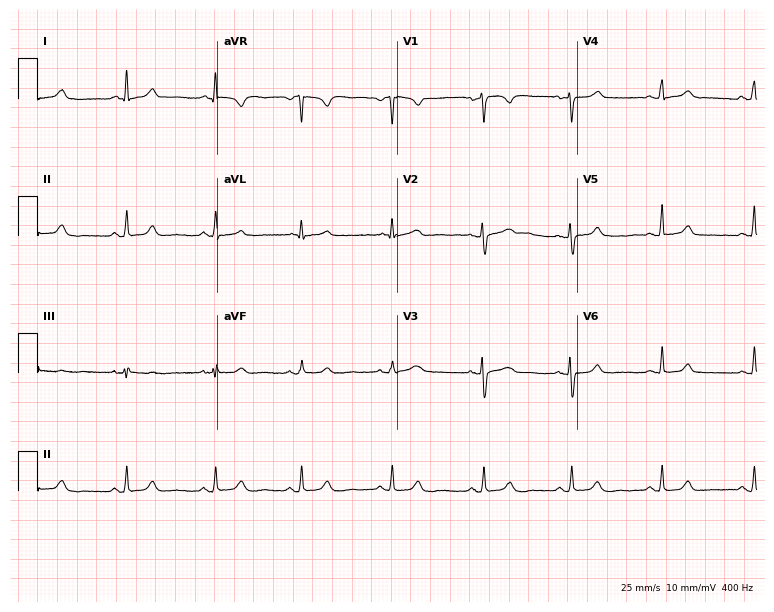
12-lead ECG (7.3-second recording at 400 Hz) from a female patient, 47 years old. Labelled as a normal ECG.